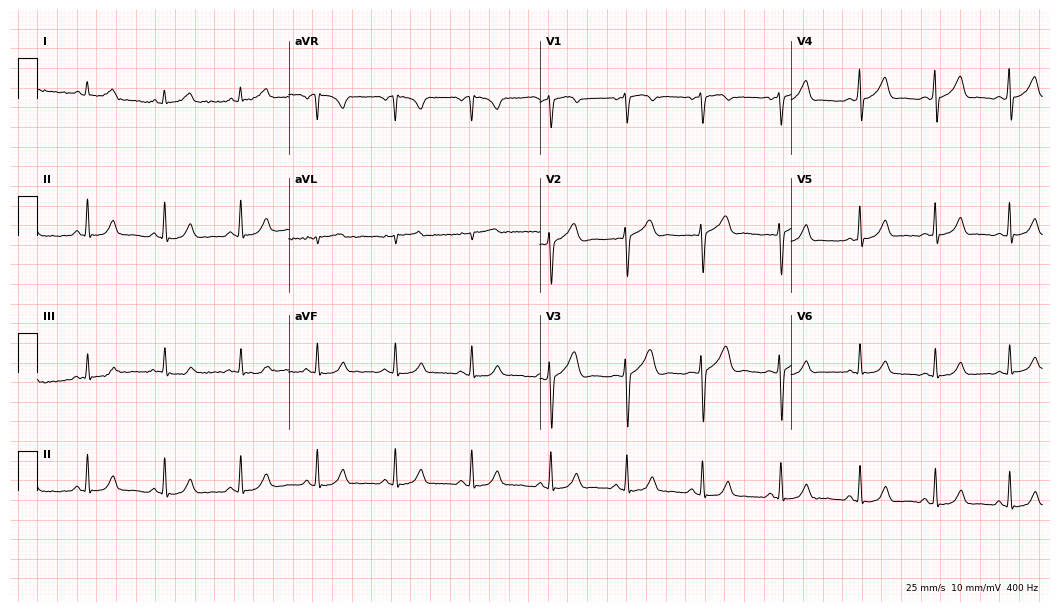
Resting 12-lead electrocardiogram. Patient: a 21-year-old woman. Read as a normal ECG.